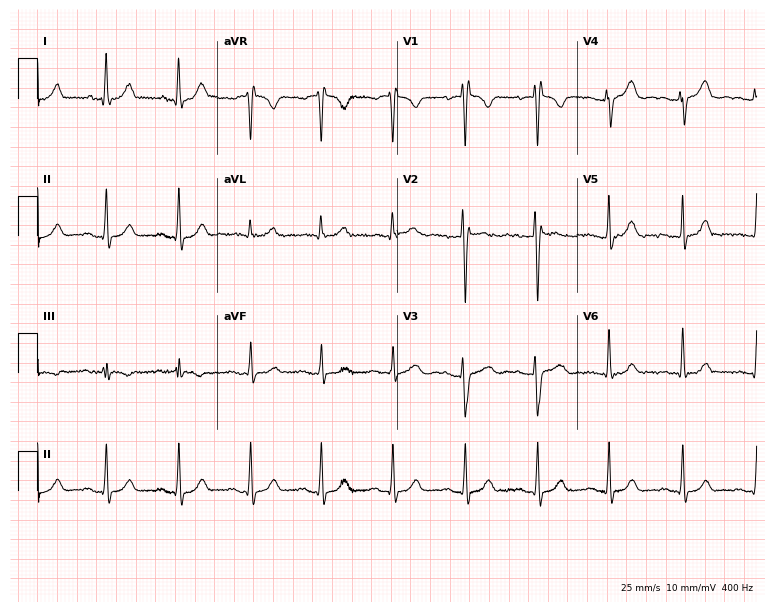
Resting 12-lead electrocardiogram (7.3-second recording at 400 Hz). Patient: a female, 26 years old. None of these six findings is recorded: first-degree AV block, right bundle branch block, left bundle branch block, sinus bradycardia, atrial fibrillation, sinus tachycardia.